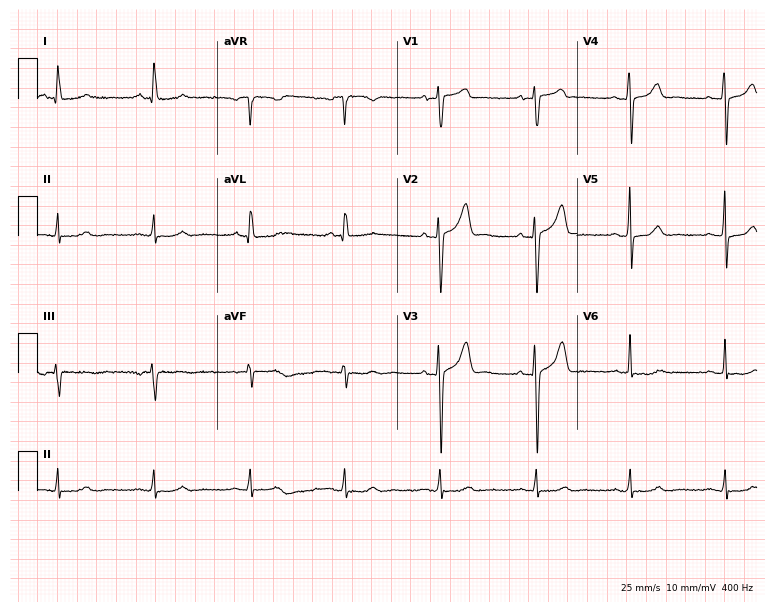
12-lead ECG from a male, 52 years old. Labelled as a normal ECG.